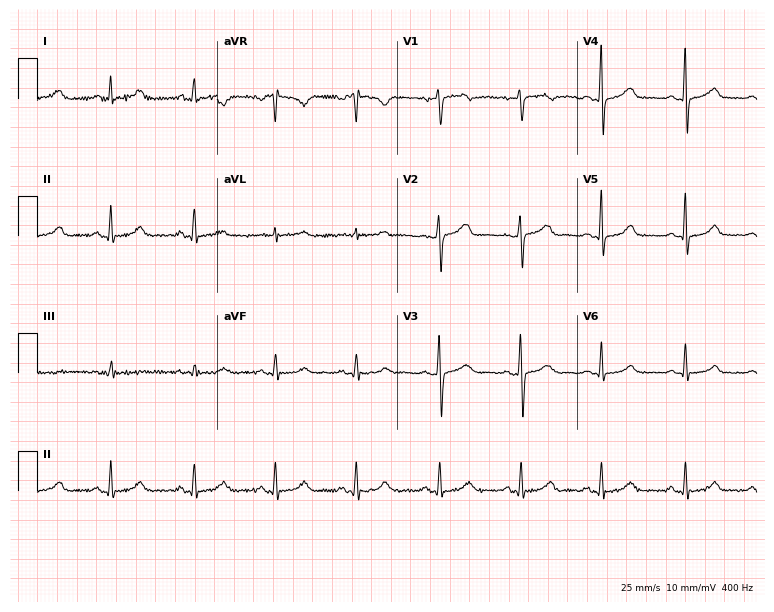
12-lead ECG from a 33-year-old female. Labelled as a normal ECG.